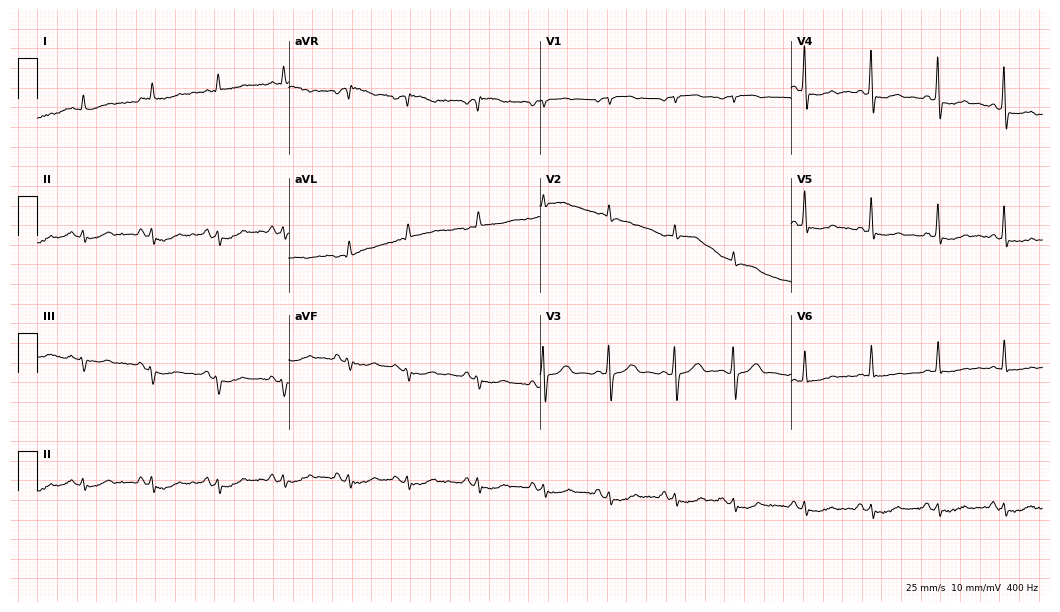
12-lead ECG from a man, 81 years old. Screened for six findings — first-degree AV block, right bundle branch block, left bundle branch block, sinus bradycardia, atrial fibrillation, sinus tachycardia — none is recorded.